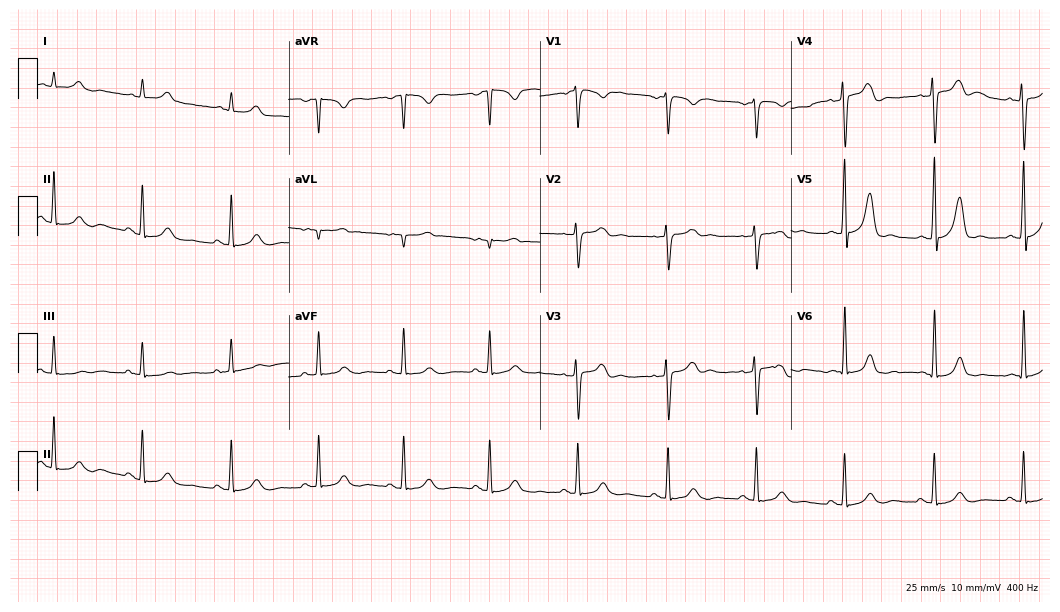
Electrocardiogram, a 65-year-old male. Overall reading on record: normal ECG.